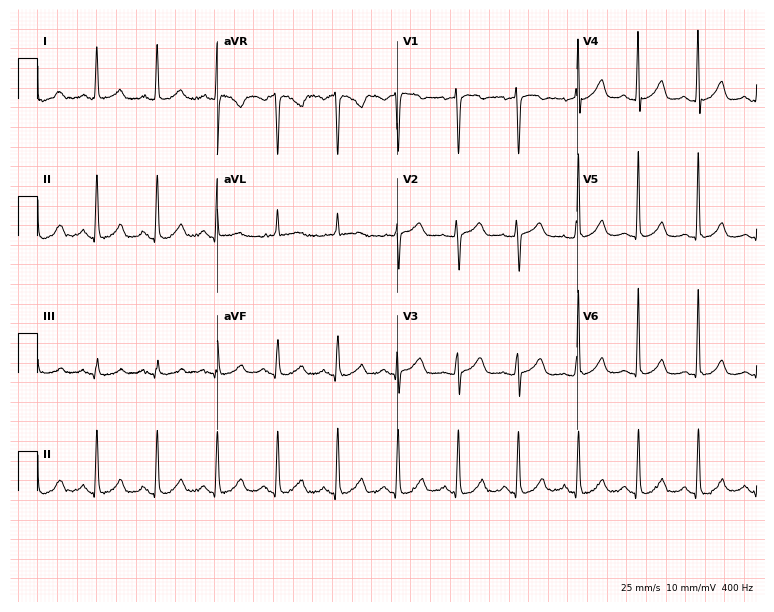
Standard 12-lead ECG recorded from a female, 66 years old (7.3-second recording at 400 Hz). None of these six findings is recorded: first-degree AV block, right bundle branch block, left bundle branch block, sinus bradycardia, atrial fibrillation, sinus tachycardia. Findings outside these six are not listed.